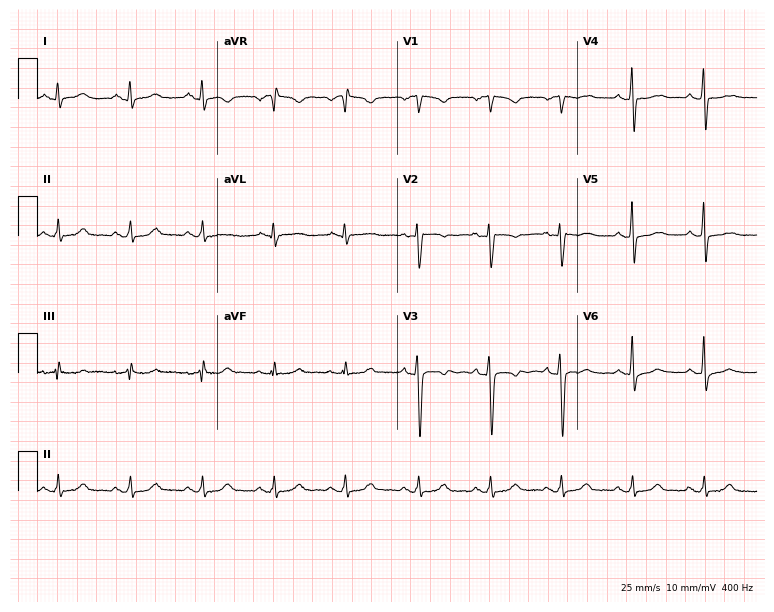
12-lead ECG from a female patient, 19 years old (7.3-second recording at 400 Hz). No first-degree AV block, right bundle branch block, left bundle branch block, sinus bradycardia, atrial fibrillation or sinus tachycardia recorded for this tracing.